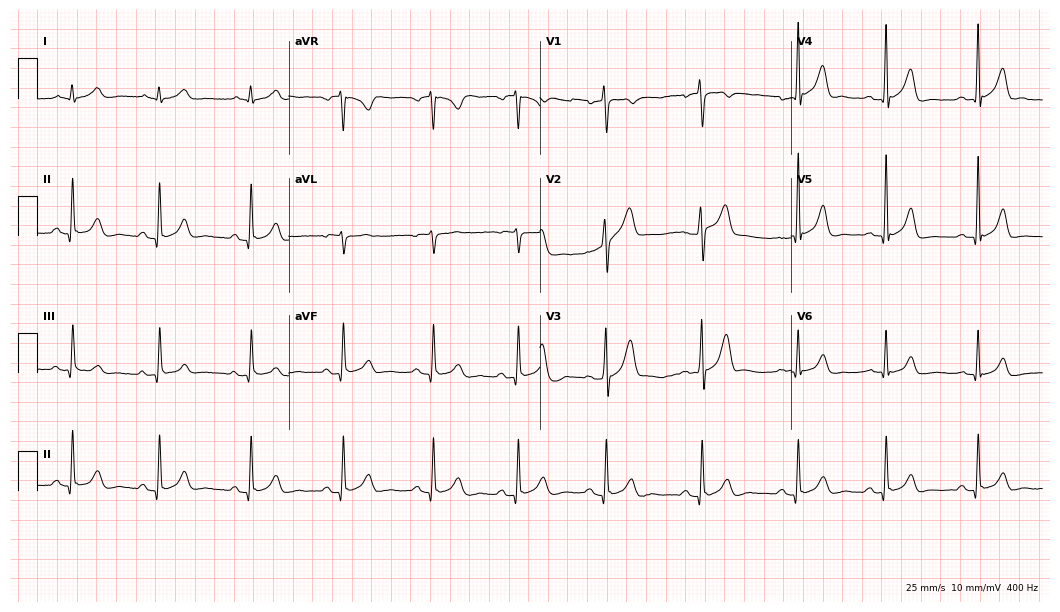
ECG (10.2-second recording at 400 Hz) — a 48-year-old man. Labelled as a normal ECG.